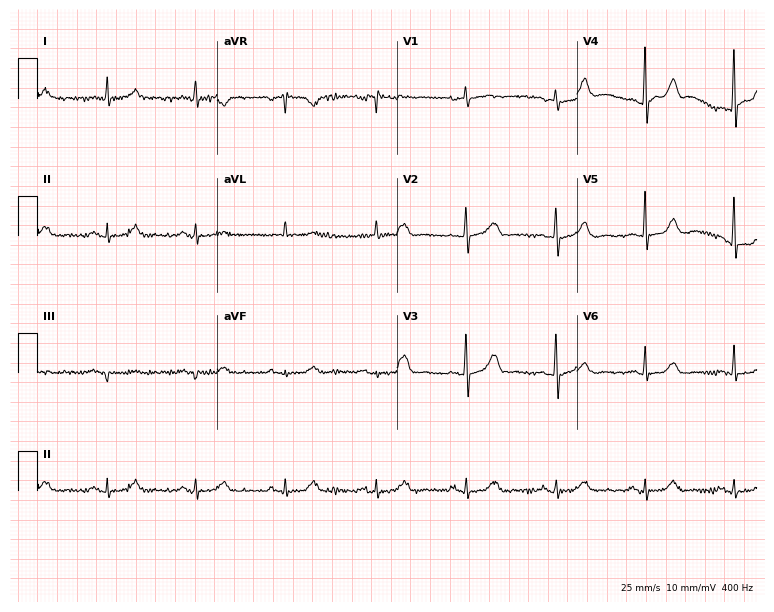
12-lead ECG from a female, 72 years old. Labelled as a normal ECG.